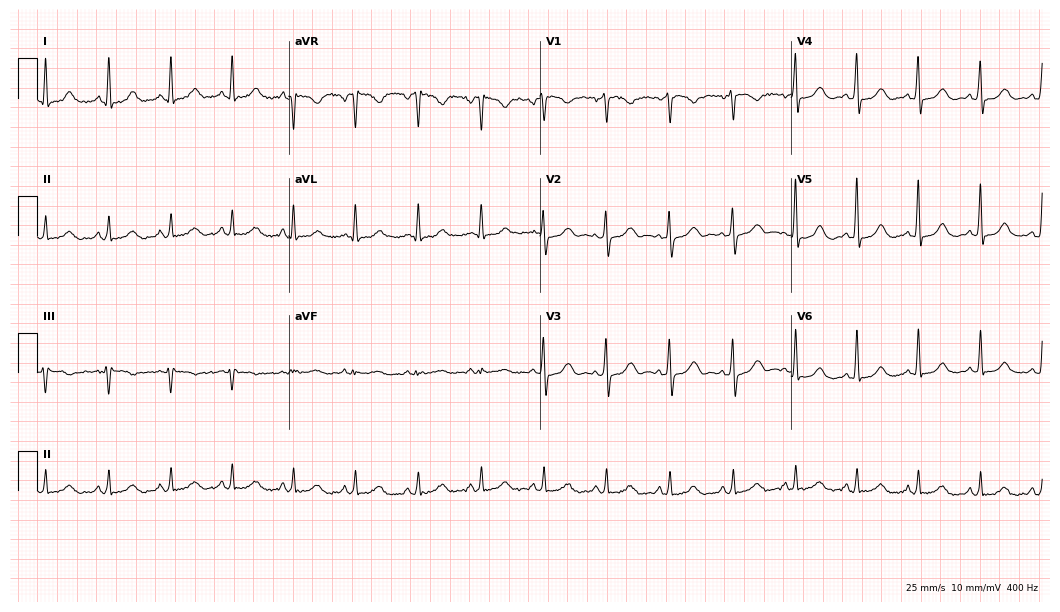
Electrocardiogram (10.2-second recording at 400 Hz), a female, 62 years old. Overall reading on record: normal ECG.